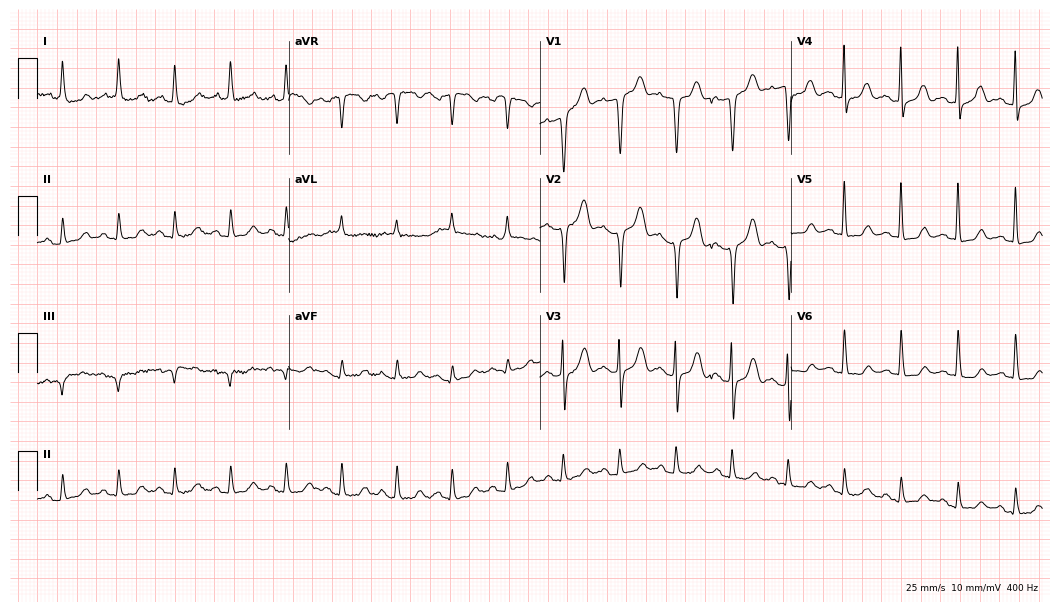
12-lead ECG from a female patient, 82 years old (10.2-second recording at 400 Hz). Shows sinus tachycardia (a sinus rate of 100 beats per minute or more).